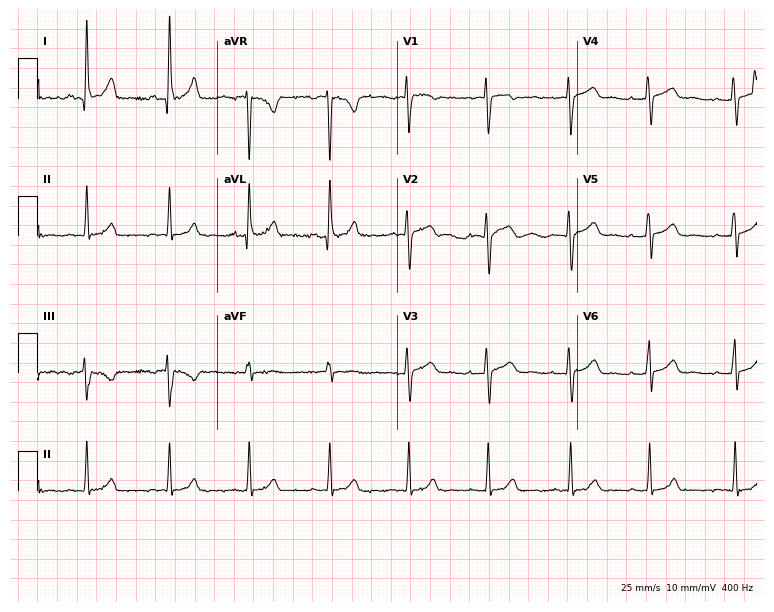
Electrocardiogram (7.3-second recording at 400 Hz), a 28-year-old female patient. Overall reading on record: normal ECG.